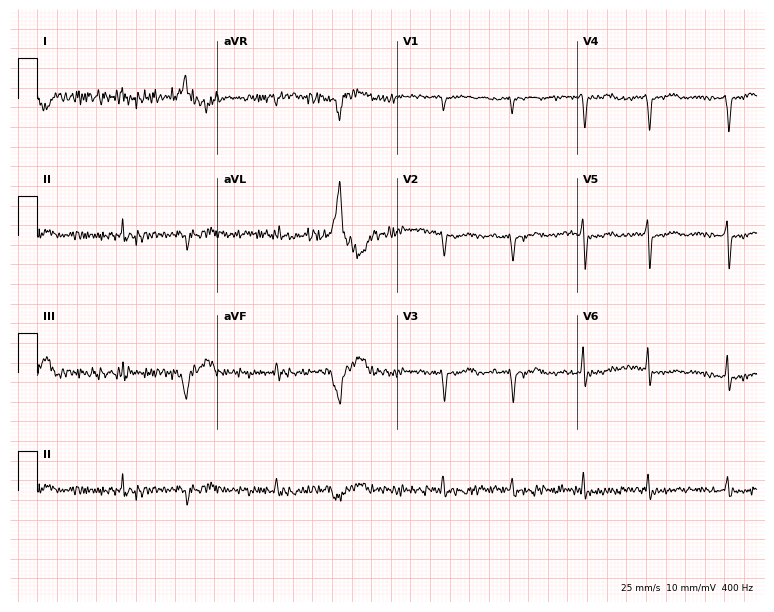
12-lead ECG from a 56-year-old female patient (7.3-second recording at 400 Hz). No first-degree AV block, right bundle branch block, left bundle branch block, sinus bradycardia, atrial fibrillation or sinus tachycardia recorded for this tracing. Only these six findings were labelled.